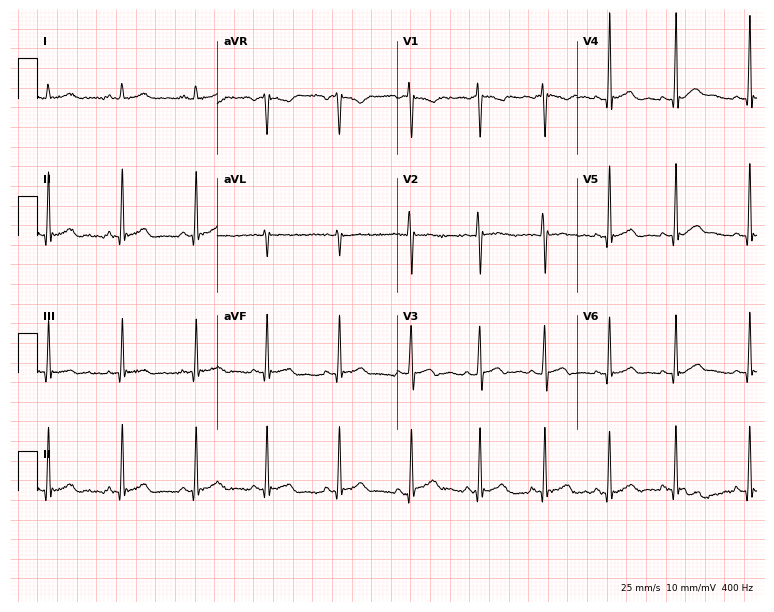
Standard 12-lead ECG recorded from a female, 21 years old. None of these six findings is recorded: first-degree AV block, right bundle branch block, left bundle branch block, sinus bradycardia, atrial fibrillation, sinus tachycardia. Other findings, if any, are not listed.